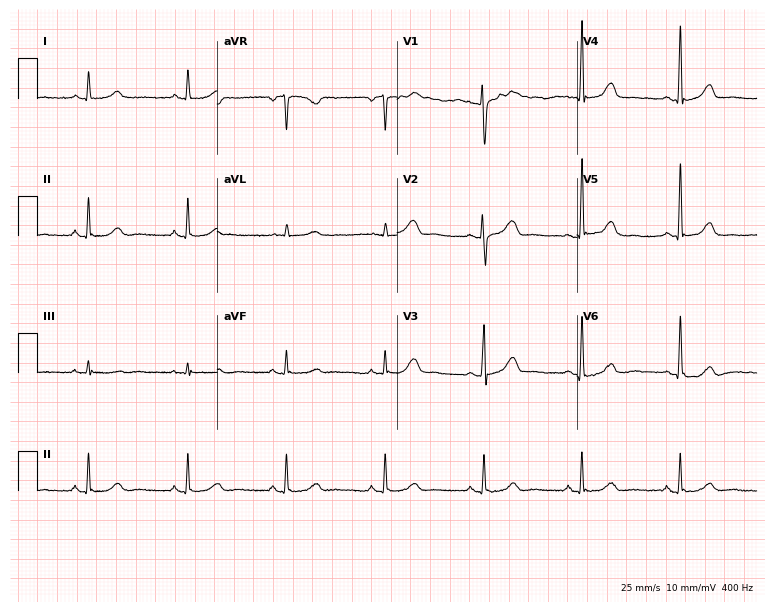
12-lead ECG from a female patient, 56 years old. Labelled as a normal ECG.